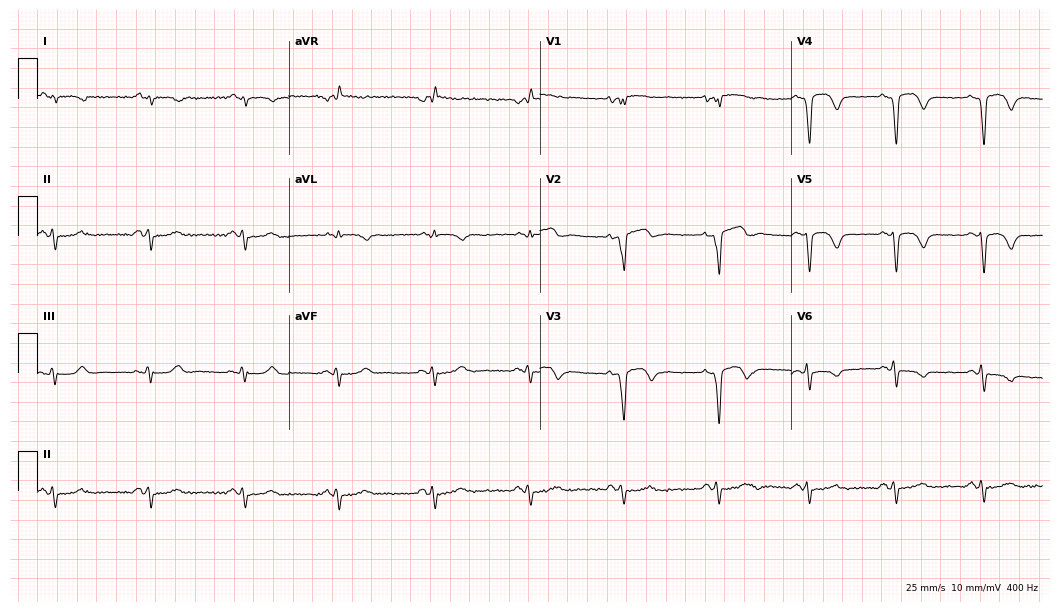
ECG — a man, 65 years old. Screened for six findings — first-degree AV block, right bundle branch block, left bundle branch block, sinus bradycardia, atrial fibrillation, sinus tachycardia — none is recorded. Other findings, if any, are not listed.